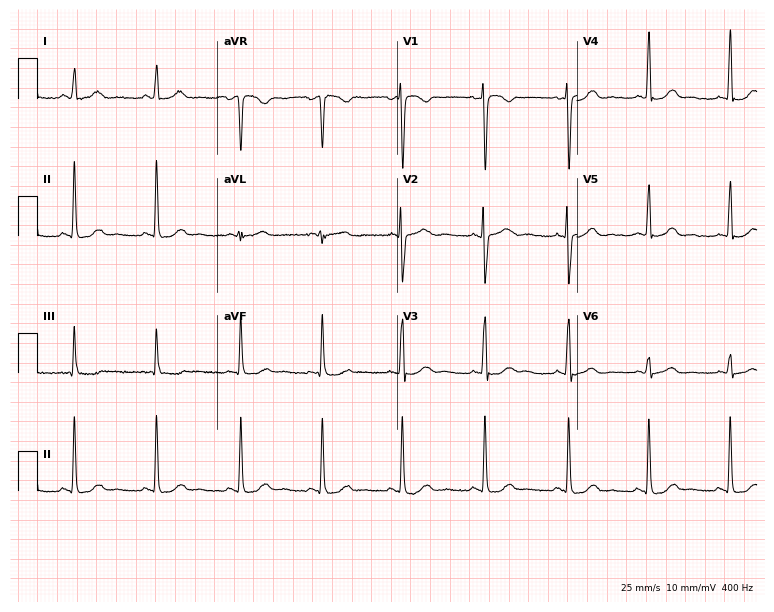
Electrocardiogram (7.3-second recording at 400 Hz), a female patient, 30 years old. Of the six screened findings (first-degree AV block, right bundle branch block (RBBB), left bundle branch block (LBBB), sinus bradycardia, atrial fibrillation (AF), sinus tachycardia), none is recorded.